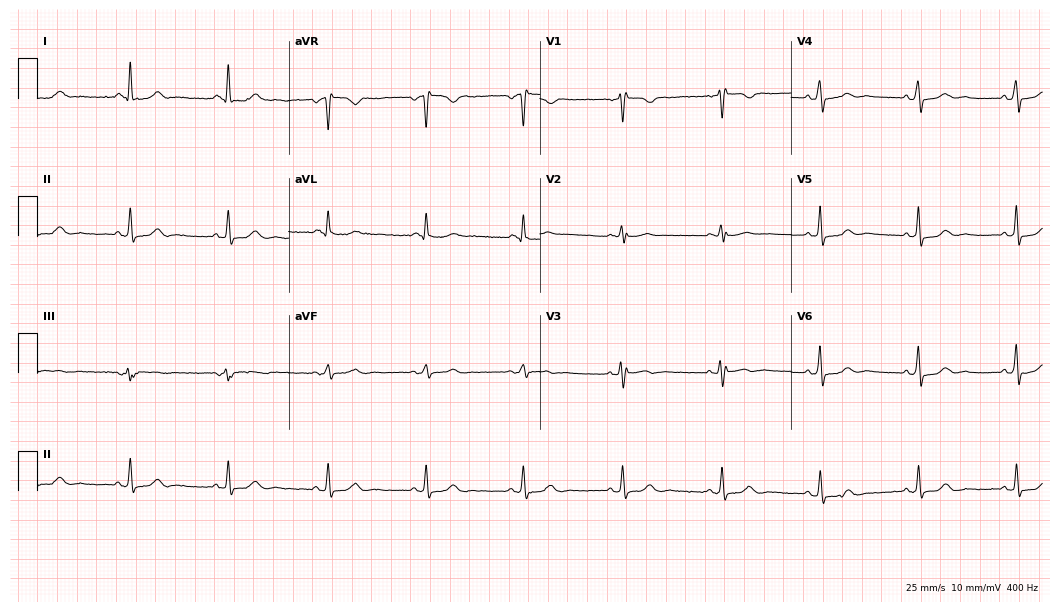
12-lead ECG from a 51-year-old female patient. Labelled as a normal ECG.